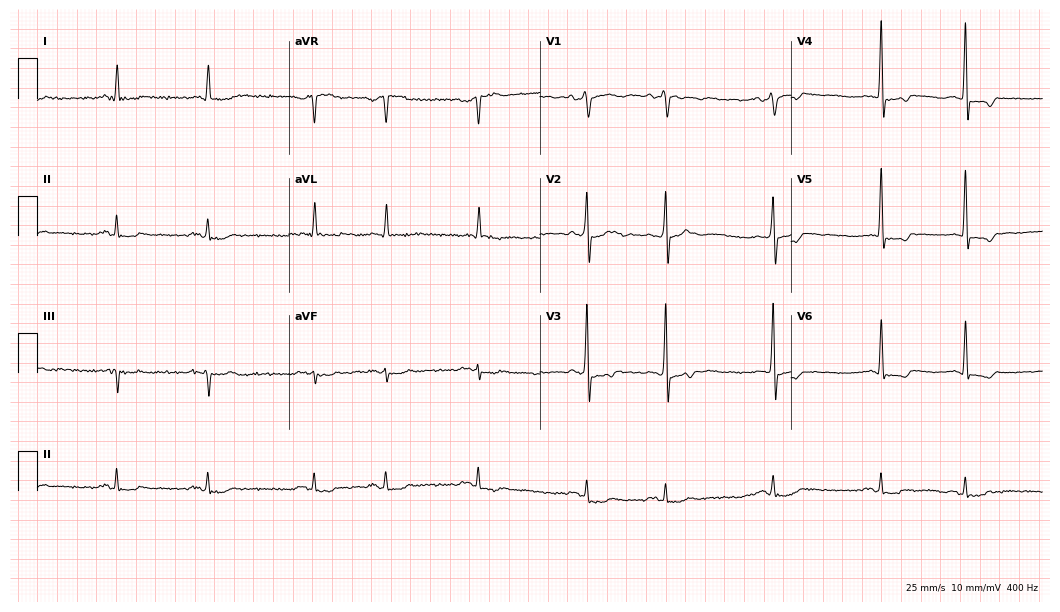
Standard 12-lead ECG recorded from a male, 75 years old. None of these six findings is recorded: first-degree AV block, right bundle branch block, left bundle branch block, sinus bradycardia, atrial fibrillation, sinus tachycardia.